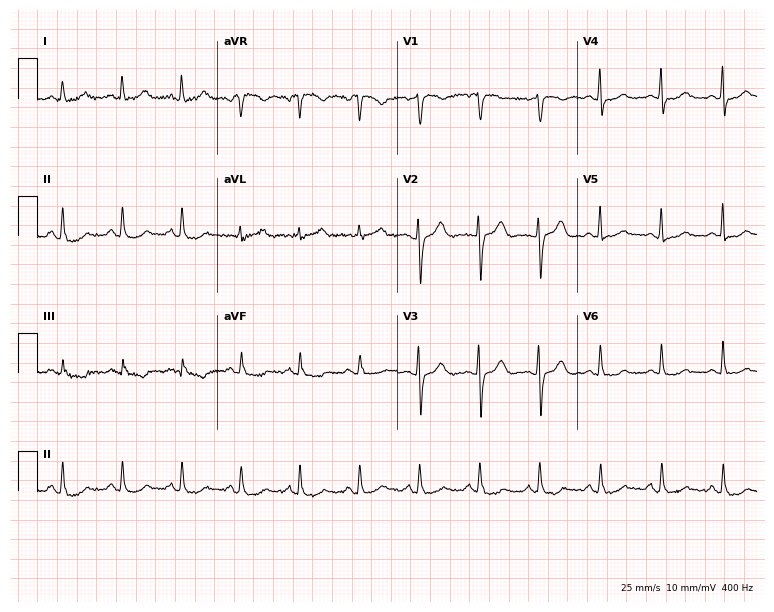
12-lead ECG (7.3-second recording at 400 Hz) from a woman, 59 years old. Screened for six findings — first-degree AV block, right bundle branch block, left bundle branch block, sinus bradycardia, atrial fibrillation, sinus tachycardia — none is recorded.